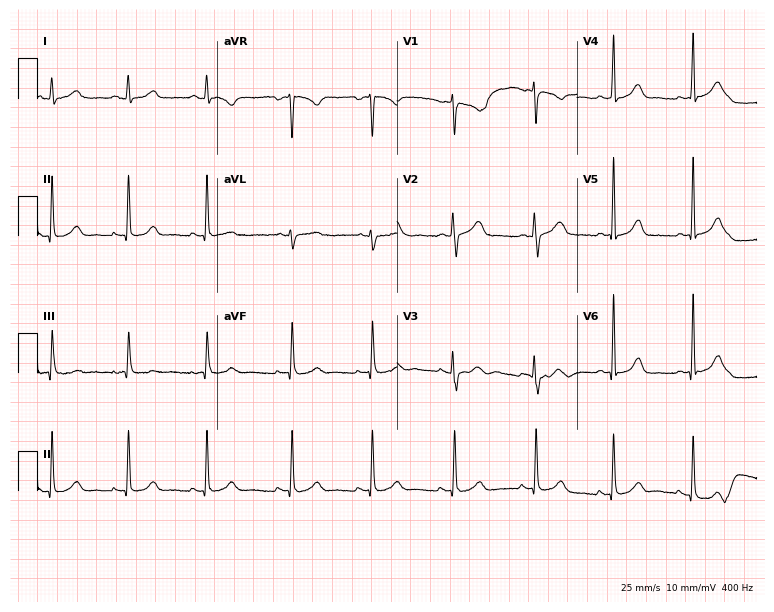
Resting 12-lead electrocardiogram (7.3-second recording at 400 Hz). Patient: a female, 38 years old. Read as a normal ECG.